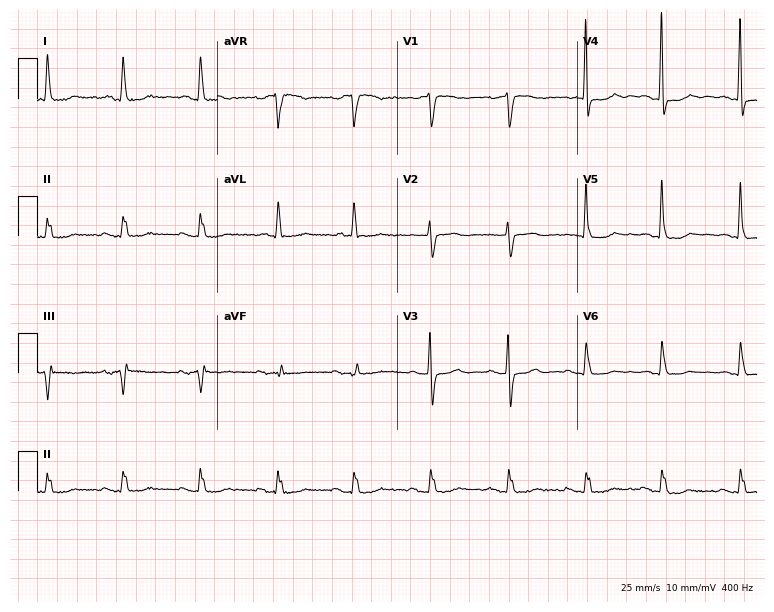
ECG — a female, 78 years old. Screened for six findings — first-degree AV block, right bundle branch block (RBBB), left bundle branch block (LBBB), sinus bradycardia, atrial fibrillation (AF), sinus tachycardia — none is recorded. Findings outside these six are not listed.